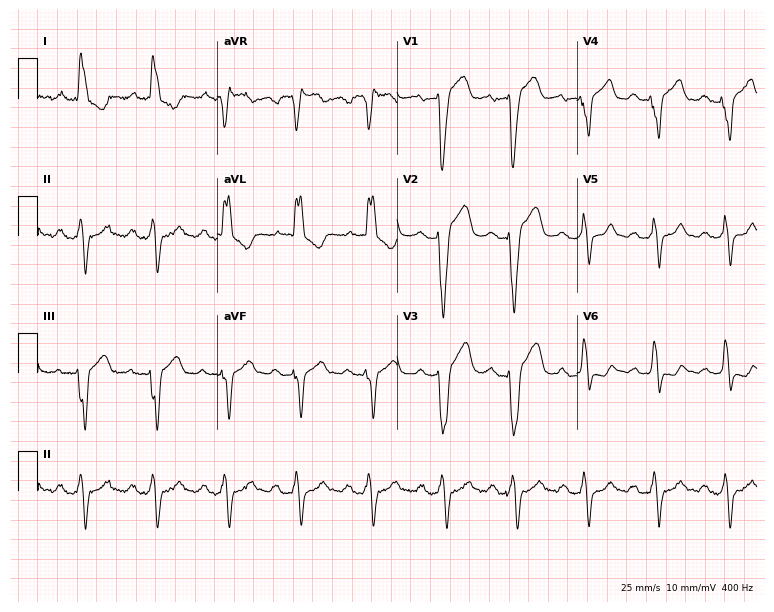
Resting 12-lead electrocardiogram. Patient: an 82-year-old female. None of these six findings is recorded: first-degree AV block, right bundle branch block, left bundle branch block, sinus bradycardia, atrial fibrillation, sinus tachycardia.